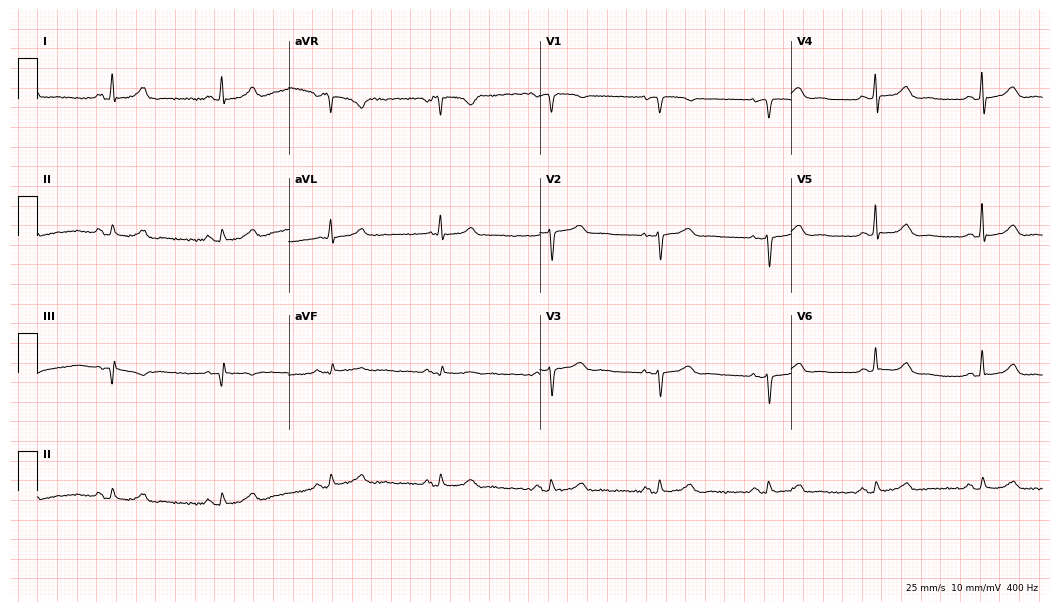
Electrocardiogram (10.2-second recording at 400 Hz), a 63-year-old woman. Of the six screened findings (first-degree AV block, right bundle branch block (RBBB), left bundle branch block (LBBB), sinus bradycardia, atrial fibrillation (AF), sinus tachycardia), none is recorded. Other findings, if any, are not listed.